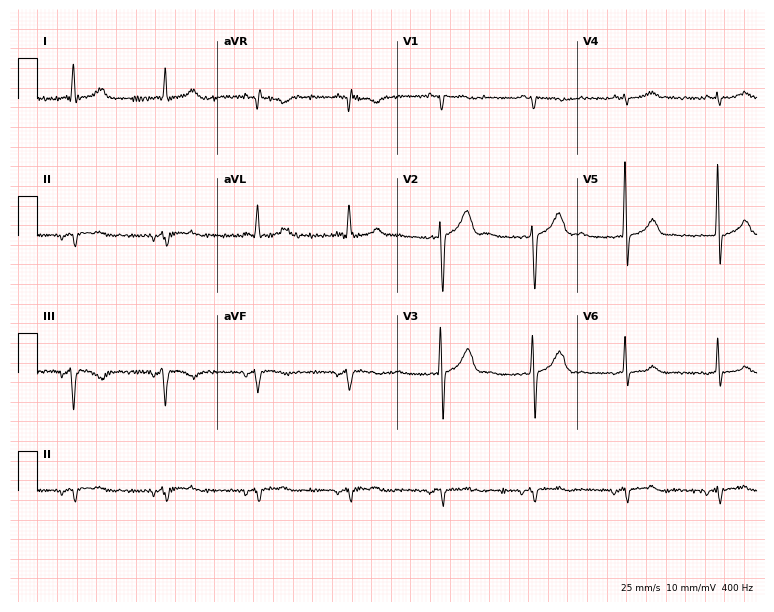
ECG (7.3-second recording at 400 Hz) — a male, 68 years old. Screened for six findings — first-degree AV block, right bundle branch block, left bundle branch block, sinus bradycardia, atrial fibrillation, sinus tachycardia — none is recorded. Findings outside these six are not listed.